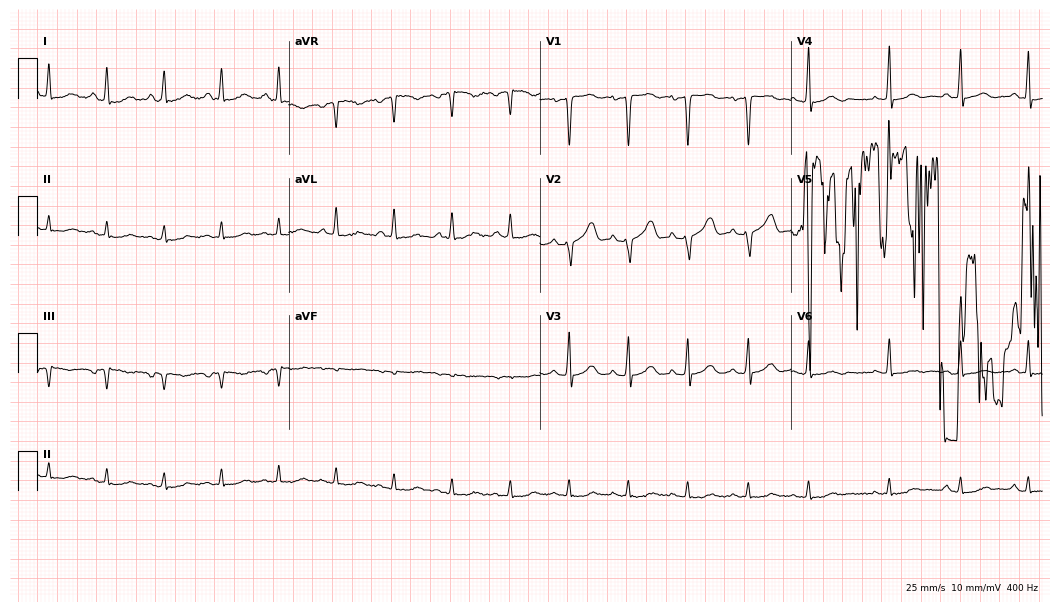
12-lead ECG from a 76-year-old woman (10.2-second recording at 400 Hz). Shows sinus tachycardia (a sinus rate of 100 beats per minute or more).